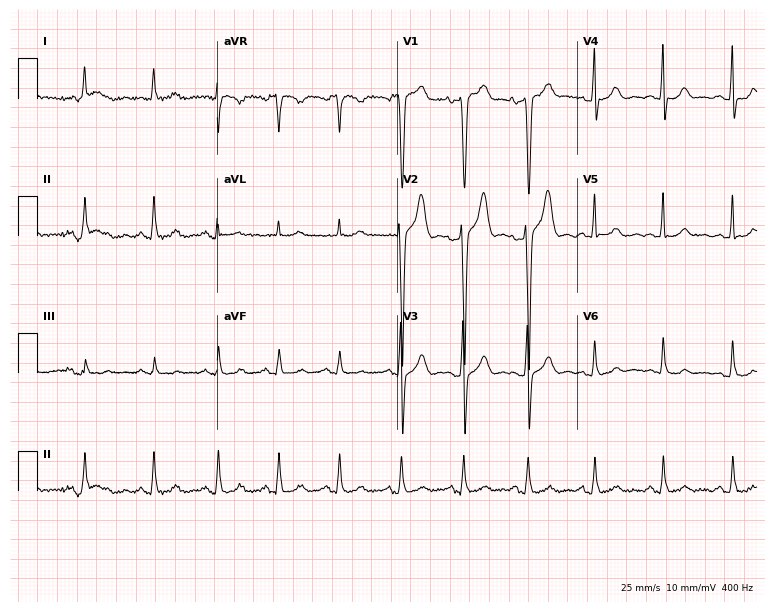
12-lead ECG from a 39-year-old male (7.3-second recording at 400 Hz). Recorded interpretation: within normal limits.